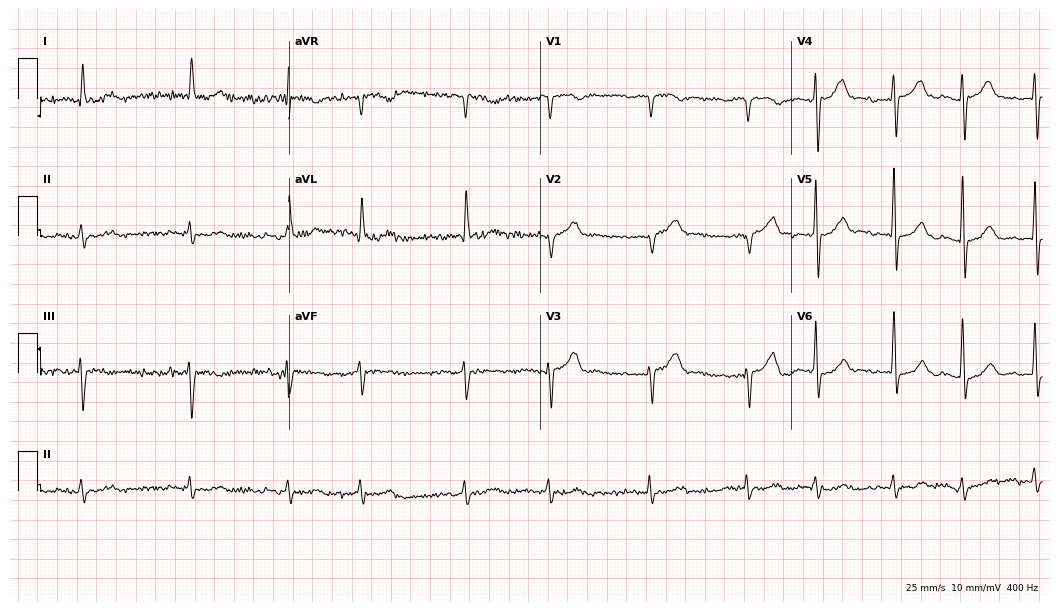
ECG — an 82-year-old man. Screened for six findings — first-degree AV block, right bundle branch block (RBBB), left bundle branch block (LBBB), sinus bradycardia, atrial fibrillation (AF), sinus tachycardia — none is recorded.